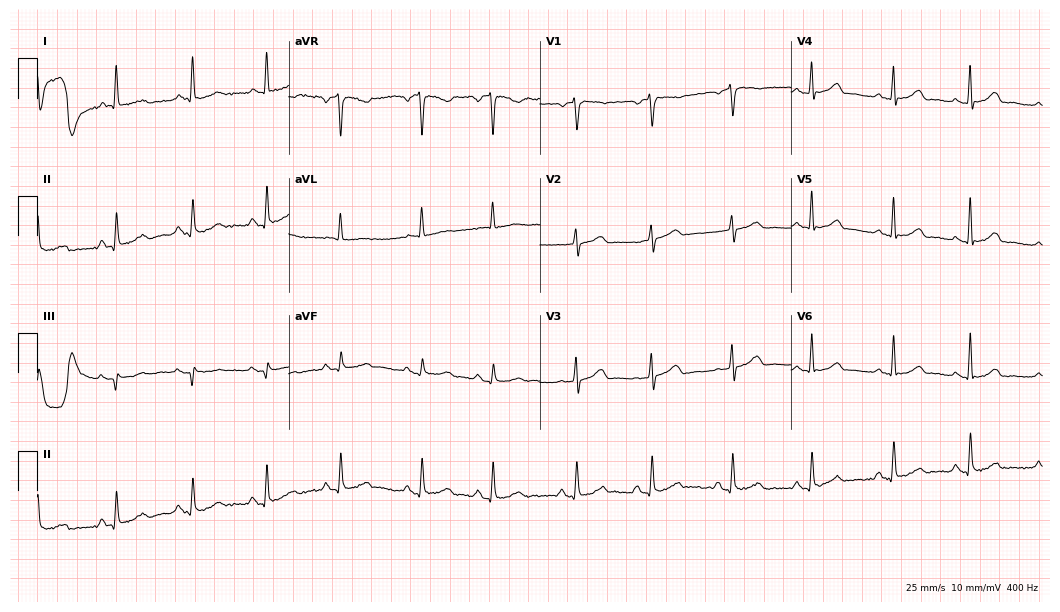
Standard 12-lead ECG recorded from a 61-year-old female patient (10.2-second recording at 400 Hz). Read as a normal ECG.